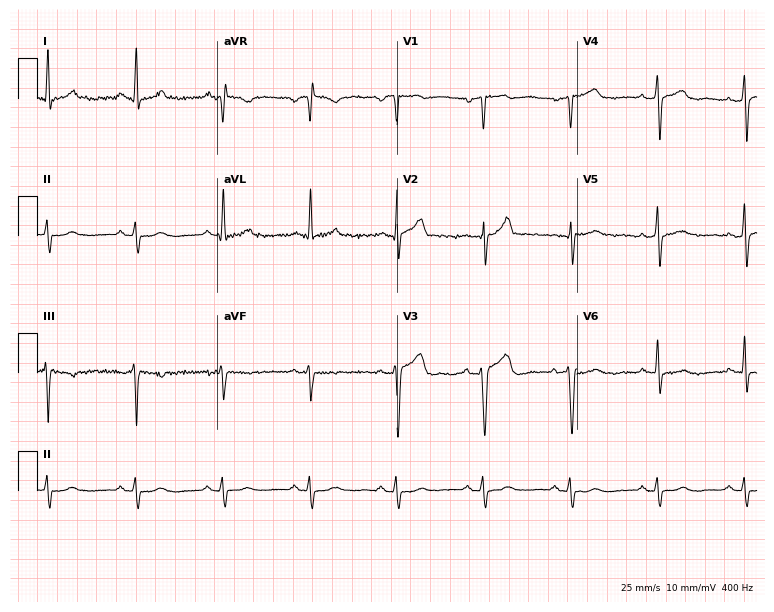
ECG (7.3-second recording at 400 Hz) — a man, 48 years old. Screened for six findings — first-degree AV block, right bundle branch block, left bundle branch block, sinus bradycardia, atrial fibrillation, sinus tachycardia — none is recorded.